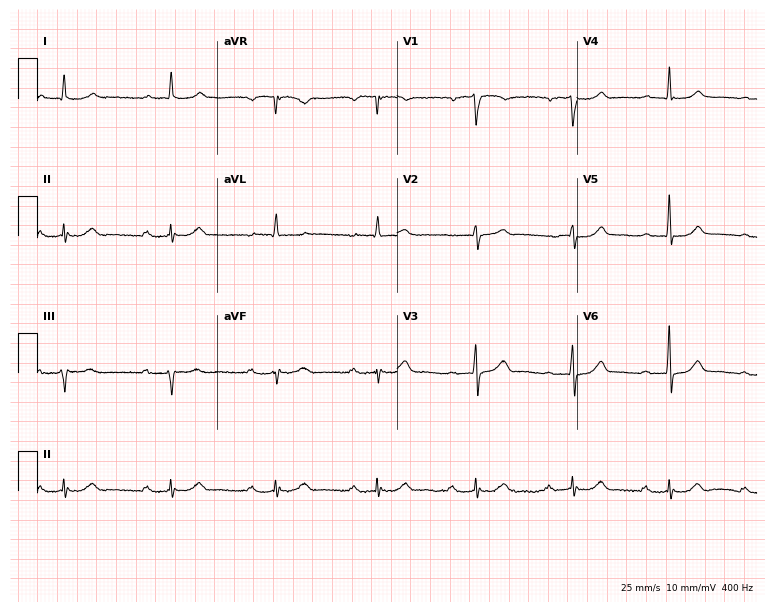
Resting 12-lead electrocardiogram (7.3-second recording at 400 Hz). Patient: a 74-year-old male. None of these six findings is recorded: first-degree AV block, right bundle branch block, left bundle branch block, sinus bradycardia, atrial fibrillation, sinus tachycardia.